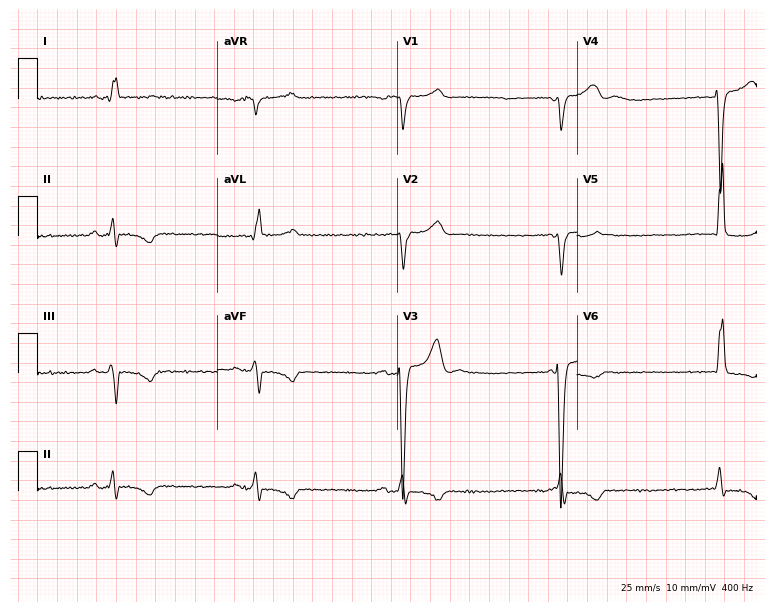
12-lead ECG (7.3-second recording at 400 Hz) from a man, 59 years old. Screened for six findings — first-degree AV block, right bundle branch block, left bundle branch block, sinus bradycardia, atrial fibrillation, sinus tachycardia — none is recorded.